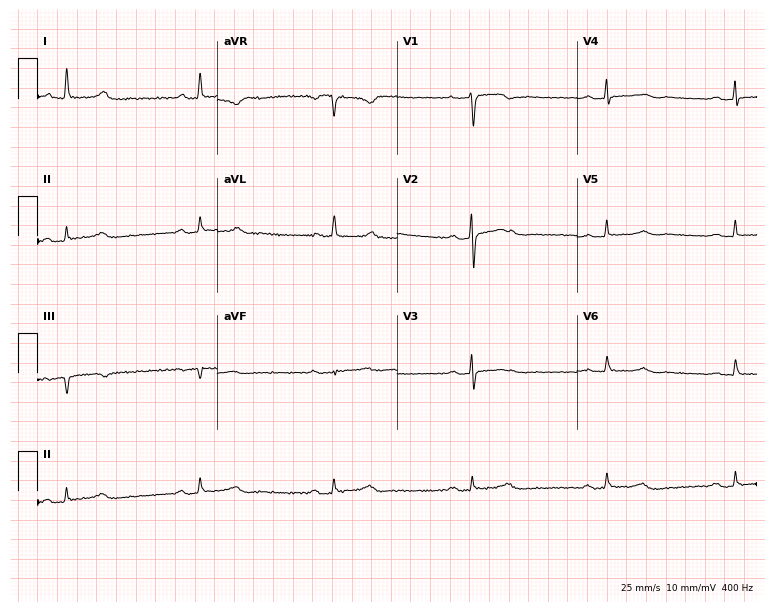
Resting 12-lead electrocardiogram. Patient: a 71-year-old female. The tracing shows sinus bradycardia (a sinus rate of 50 beats per minute or less).